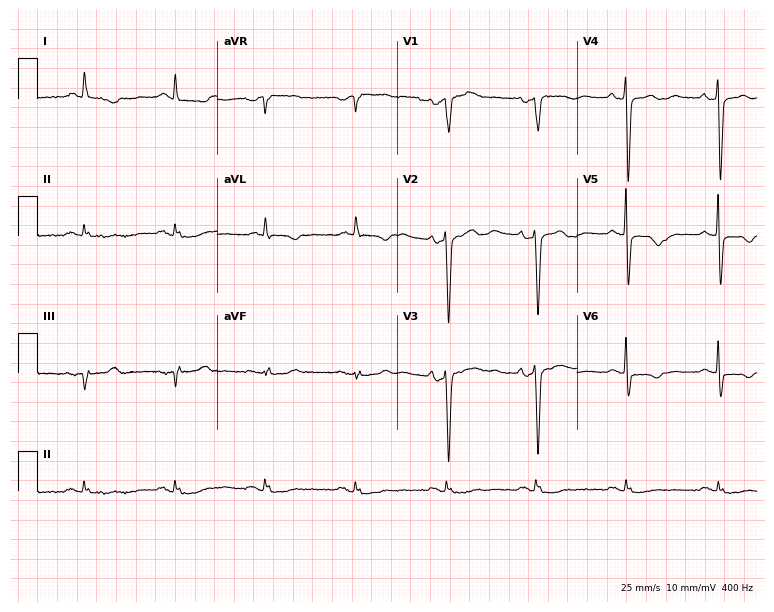
12-lead ECG from a 66-year-old woman. No first-degree AV block, right bundle branch block, left bundle branch block, sinus bradycardia, atrial fibrillation or sinus tachycardia recorded for this tracing.